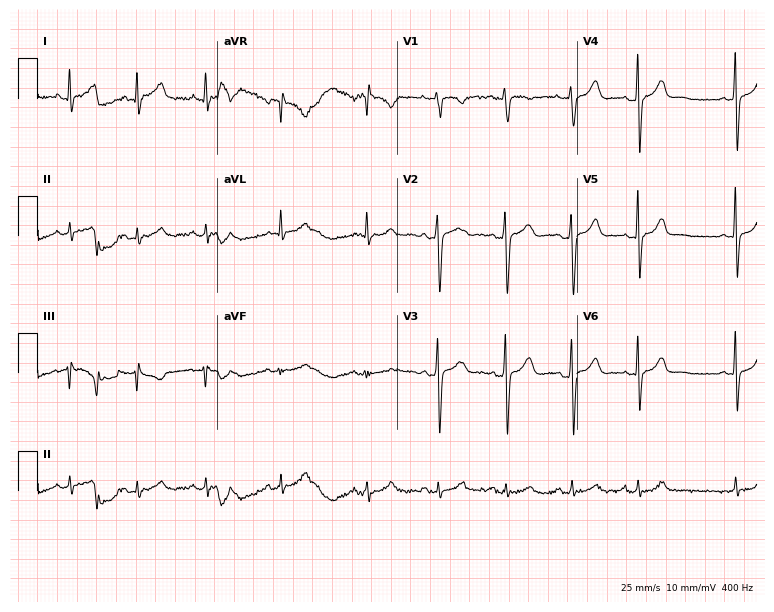
Standard 12-lead ECG recorded from a 20-year-old female patient. None of these six findings is recorded: first-degree AV block, right bundle branch block, left bundle branch block, sinus bradycardia, atrial fibrillation, sinus tachycardia. Only these six findings were labelled.